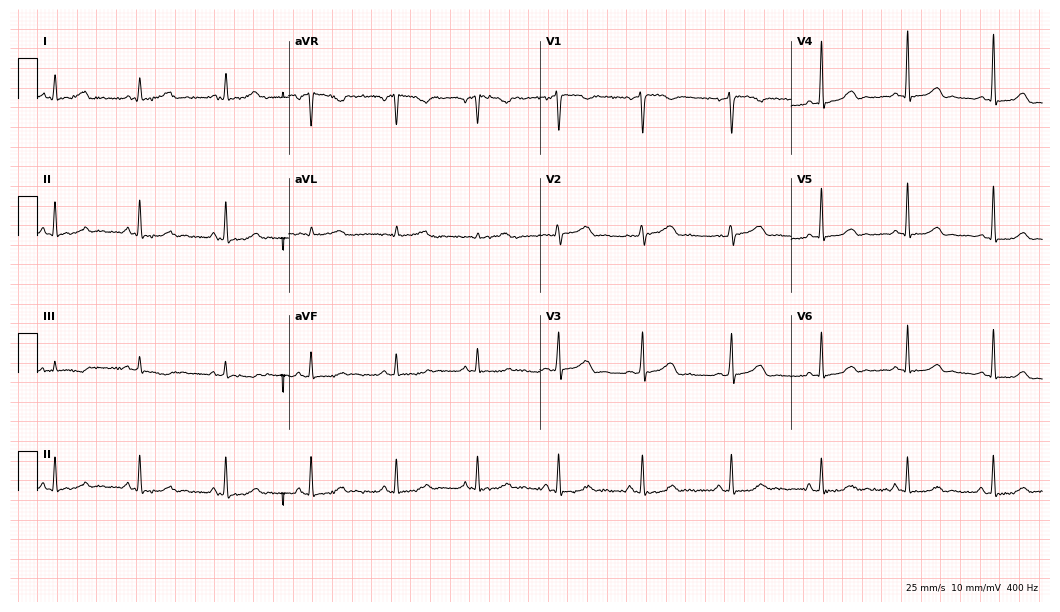
Resting 12-lead electrocardiogram (10.2-second recording at 400 Hz). Patient: a 36-year-old female. None of these six findings is recorded: first-degree AV block, right bundle branch block, left bundle branch block, sinus bradycardia, atrial fibrillation, sinus tachycardia.